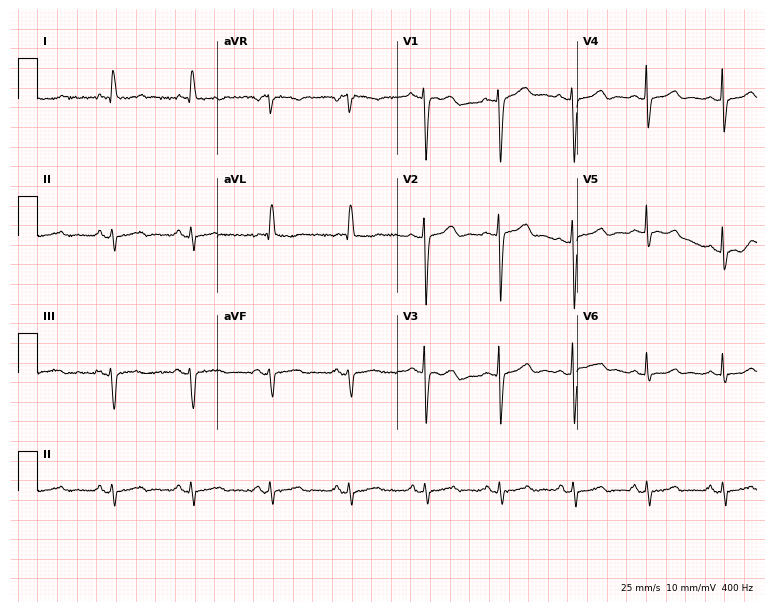
12-lead ECG from a female patient, 73 years old. No first-degree AV block, right bundle branch block, left bundle branch block, sinus bradycardia, atrial fibrillation or sinus tachycardia recorded for this tracing. Other findings, if any, are not listed.